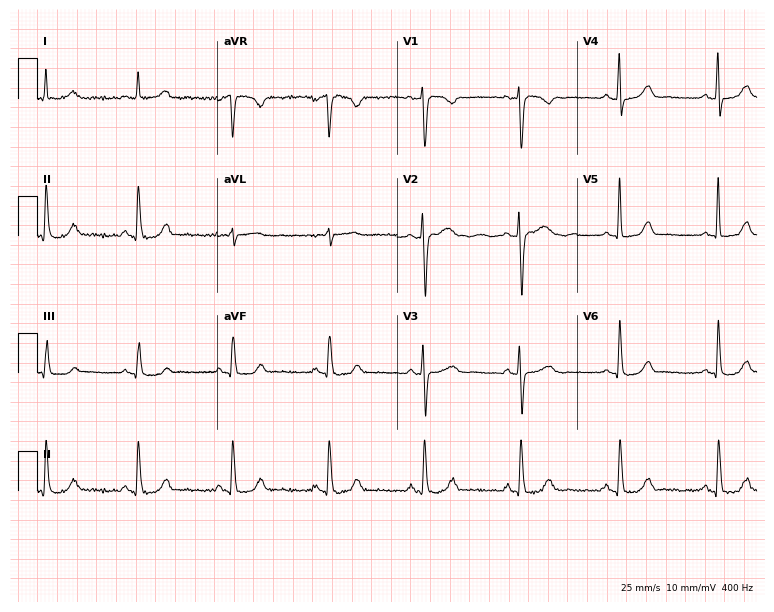
ECG (7.3-second recording at 400 Hz) — a female, 48 years old. Labelled as a normal ECG.